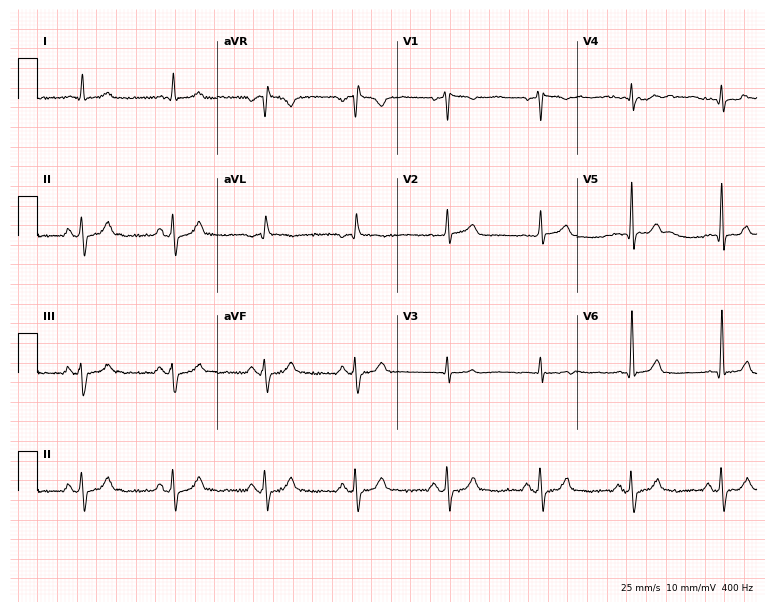
12-lead ECG from a man, 59 years old. Screened for six findings — first-degree AV block, right bundle branch block, left bundle branch block, sinus bradycardia, atrial fibrillation, sinus tachycardia — none is recorded. Other findings, if any, are not listed.